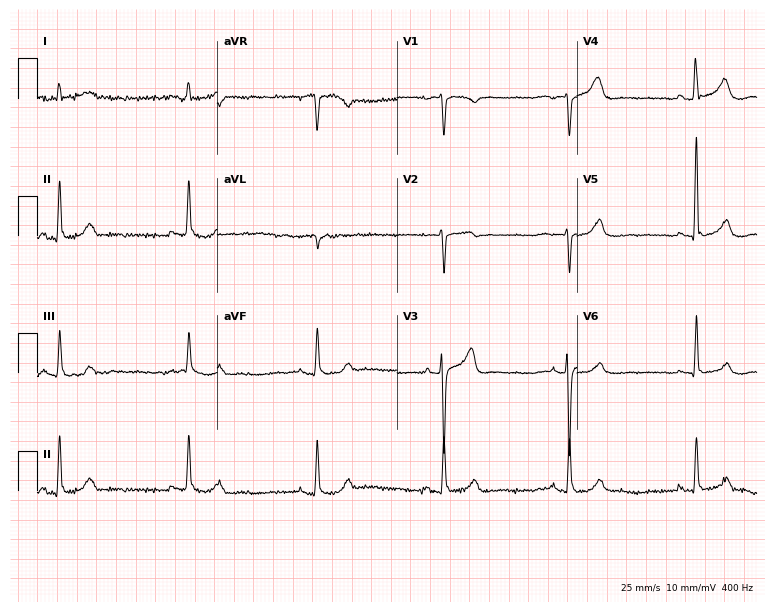
Resting 12-lead electrocardiogram. Patient: an 82-year-old male. The tracing shows sinus bradycardia (a sinus rate of 50 beats per minute or less).